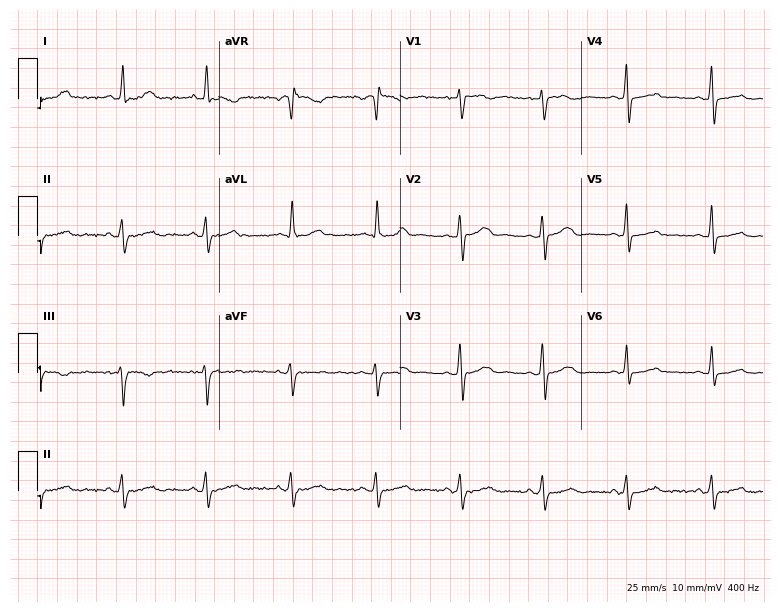
12-lead ECG from a female patient, 43 years old. No first-degree AV block, right bundle branch block, left bundle branch block, sinus bradycardia, atrial fibrillation or sinus tachycardia recorded for this tracing.